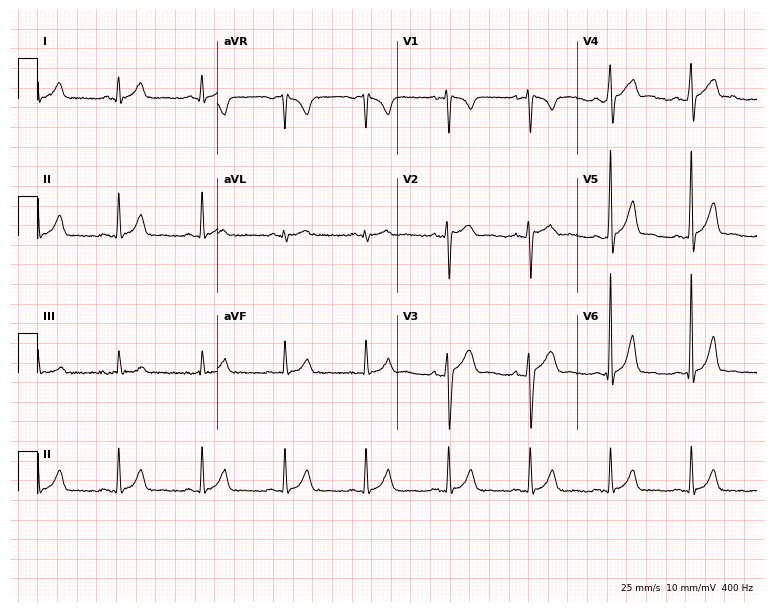
Resting 12-lead electrocardiogram (7.3-second recording at 400 Hz). Patient: a 36-year-old male. Read as a normal ECG.